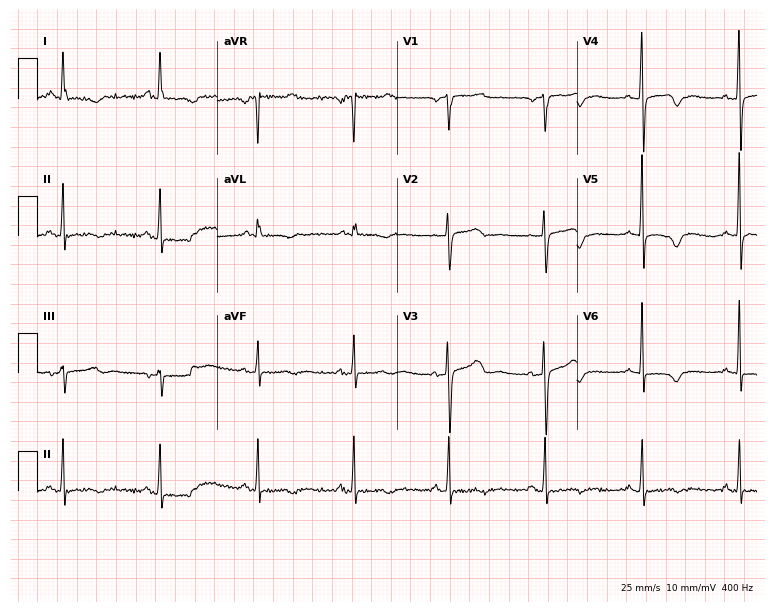
ECG (7.3-second recording at 400 Hz) — a 70-year-old woman. Screened for six findings — first-degree AV block, right bundle branch block, left bundle branch block, sinus bradycardia, atrial fibrillation, sinus tachycardia — none is recorded. Other findings, if any, are not listed.